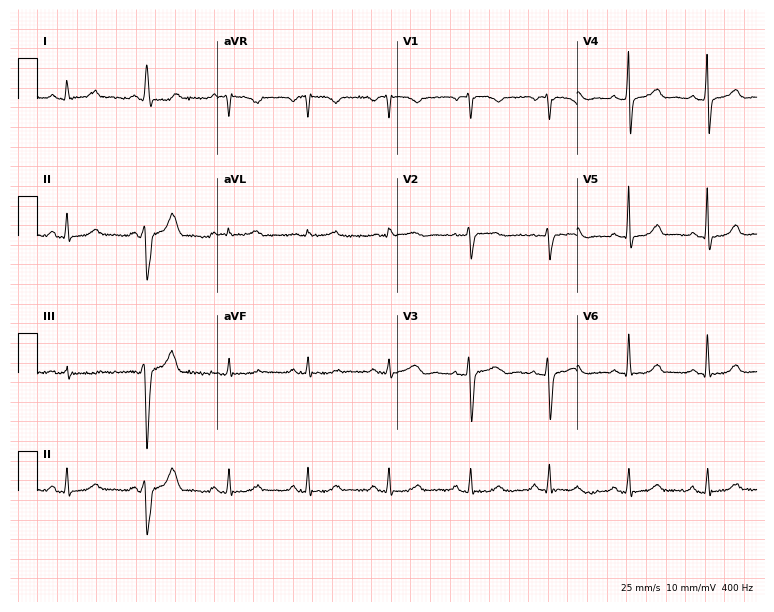
12-lead ECG from a 53-year-old female patient (7.3-second recording at 400 Hz). No first-degree AV block, right bundle branch block (RBBB), left bundle branch block (LBBB), sinus bradycardia, atrial fibrillation (AF) or sinus tachycardia recorded for this tracing.